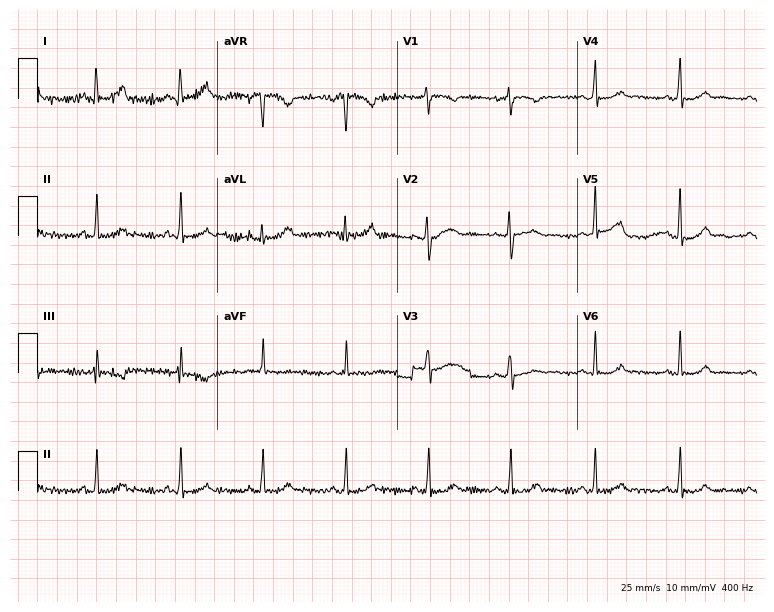
ECG (7.3-second recording at 400 Hz) — a 44-year-old female patient. Screened for six findings — first-degree AV block, right bundle branch block, left bundle branch block, sinus bradycardia, atrial fibrillation, sinus tachycardia — none is recorded. Other findings, if any, are not listed.